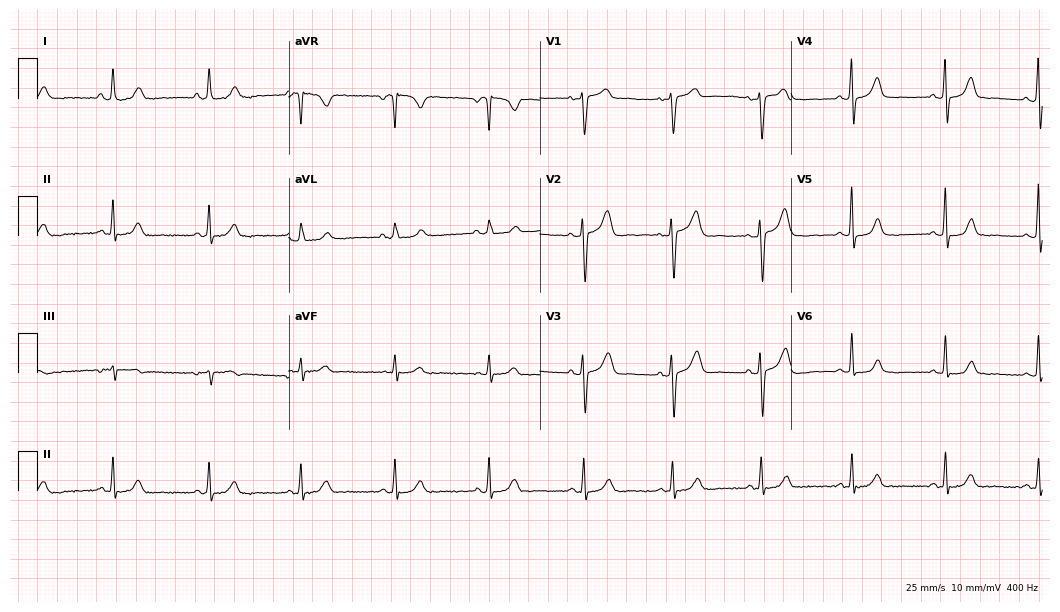
12-lead ECG from a 61-year-old woman. No first-degree AV block, right bundle branch block, left bundle branch block, sinus bradycardia, atrial fibrillation or sinus tachycardia recorded for this tracing.